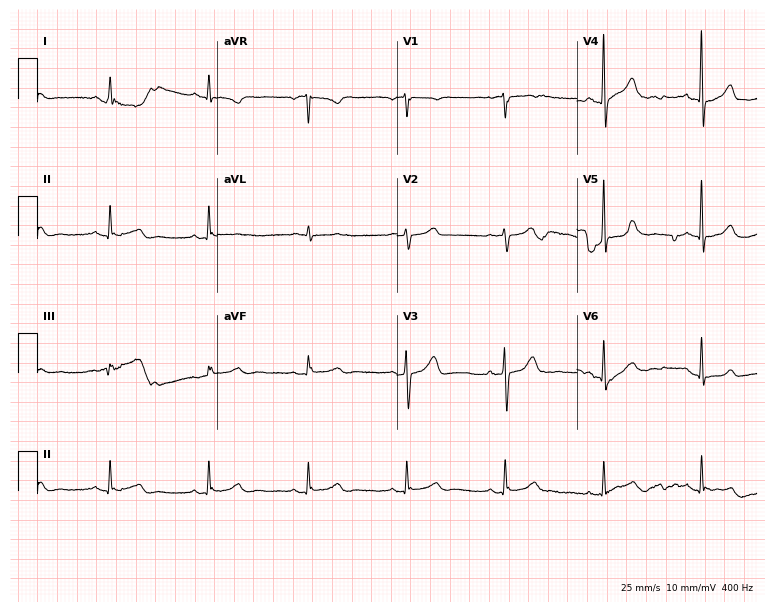
12-lead ECG from a 74-year-old male (7.3-second recording at 400 Hz). Recorded interpretation: within normal limits.